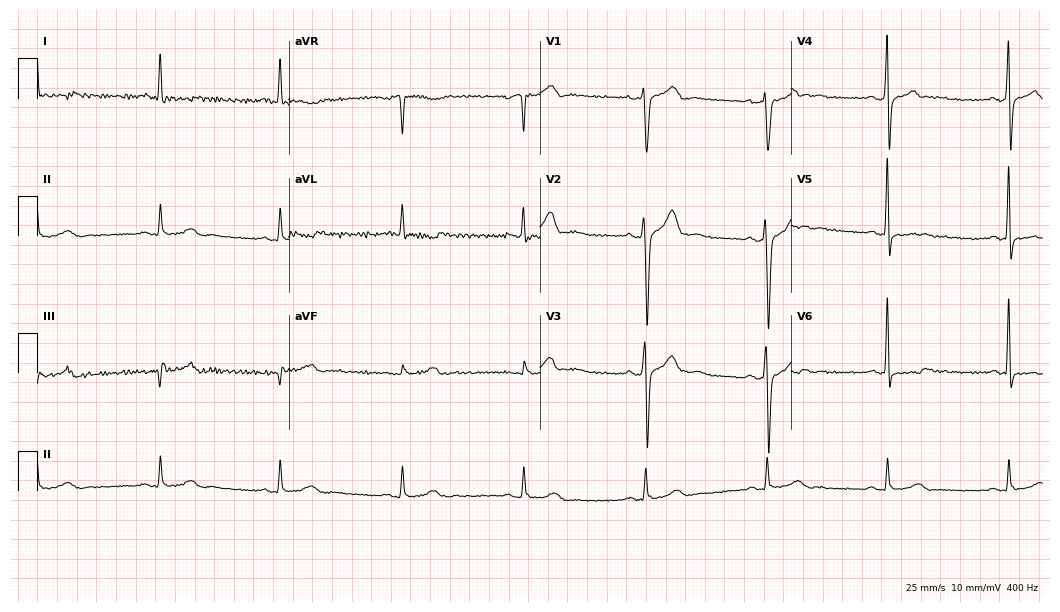
ECG — a male patient, 54 years old. Findings include sinus bradycardia (a sinus rate of 50 beats per minute or less).